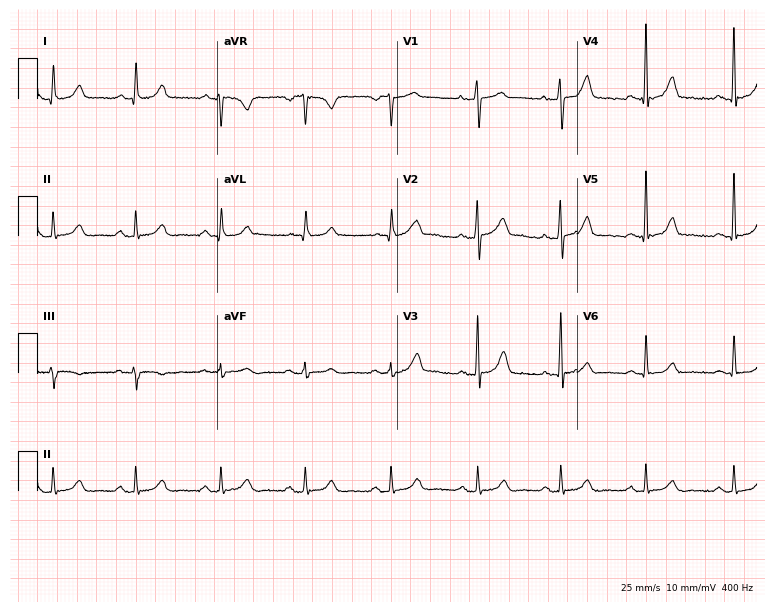
ECG (7.3-second recording at 400 Hz) — a female patient, 48 years old. Screened for six findings — first-degree AV block, right bundle branch block (RBBB), left bundle branch block (LBBB), sinus bradycardia, atrial fibrillation (AF), sinus tachycardia — none is recorded. Other findings, if any, are not listed.